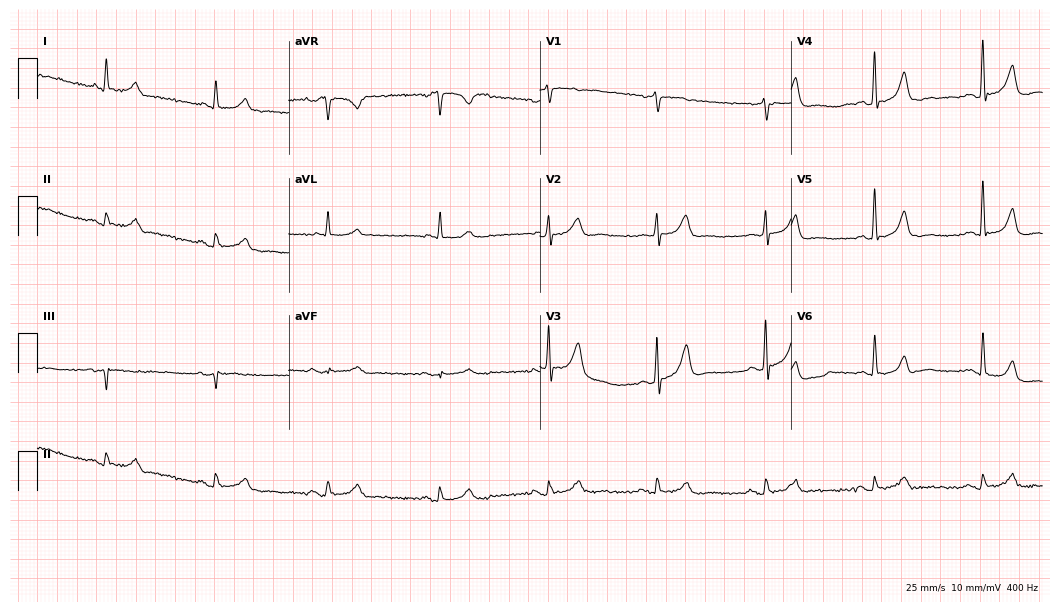
Standard 12-lead ECG recorded from a 74-year-old male. Read as a normal ECG.